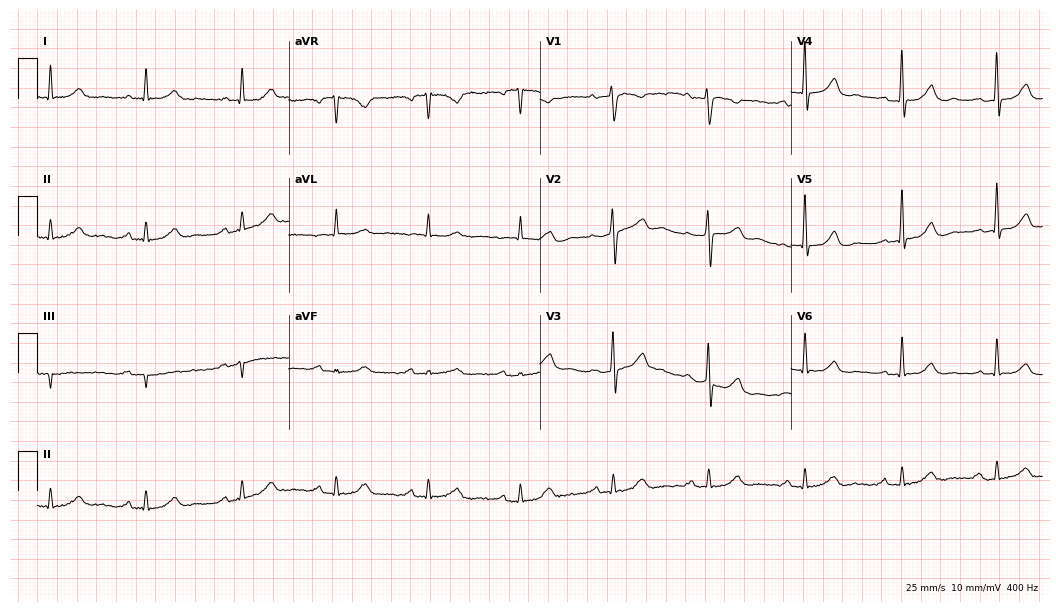
Electrocardiogram (10.2-second recording at 400 Hz), a 66-year-old woman. Overall reading on record: normal ECG.